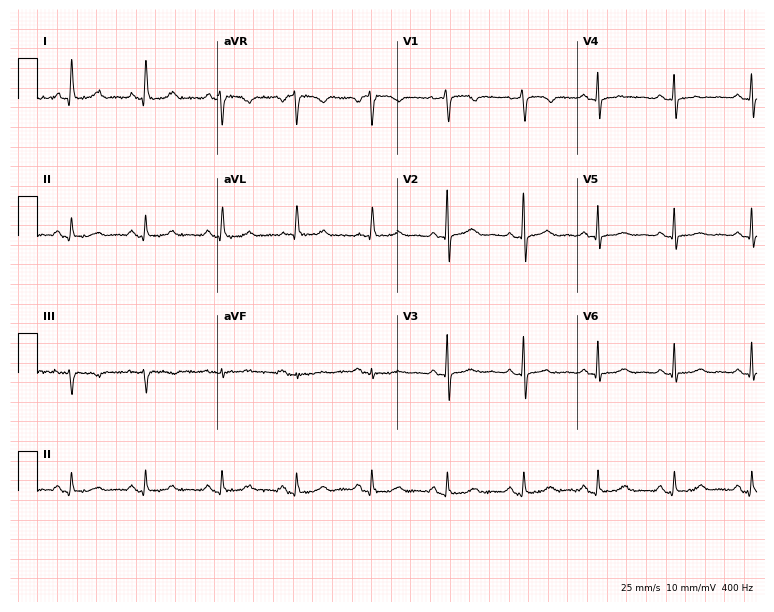
ECG (7.3-second recording at 400 Hz) — a 76-year-old female. Labelled as a normal ECG.